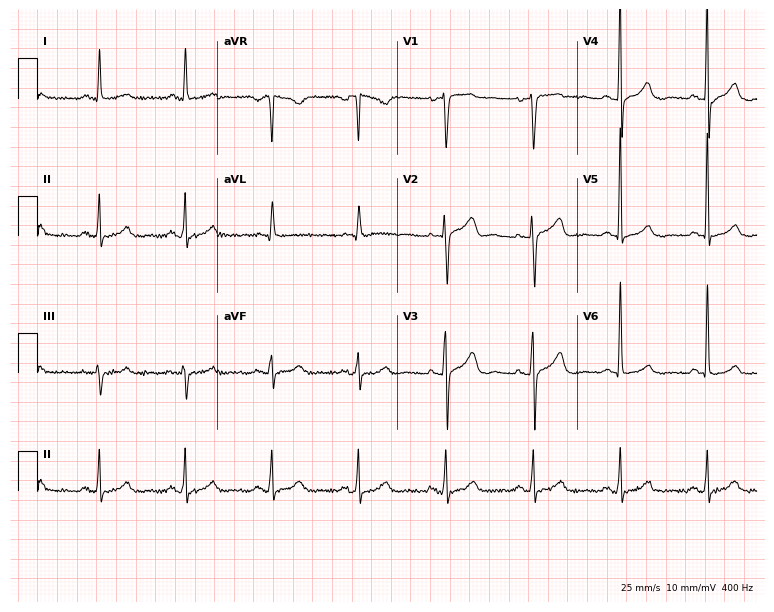
12-lead ECG (7.3-second recording at 400 Hz) from a 62-year-old woman. Screened for six findings — first-degree AV block, right bundle branch block (RBBB), left bundle branch block (LBBB), sinus bradycardia, atrial fibrillation (AF), sinus tachycardia — none is recorded. Only these six findings were labelled.